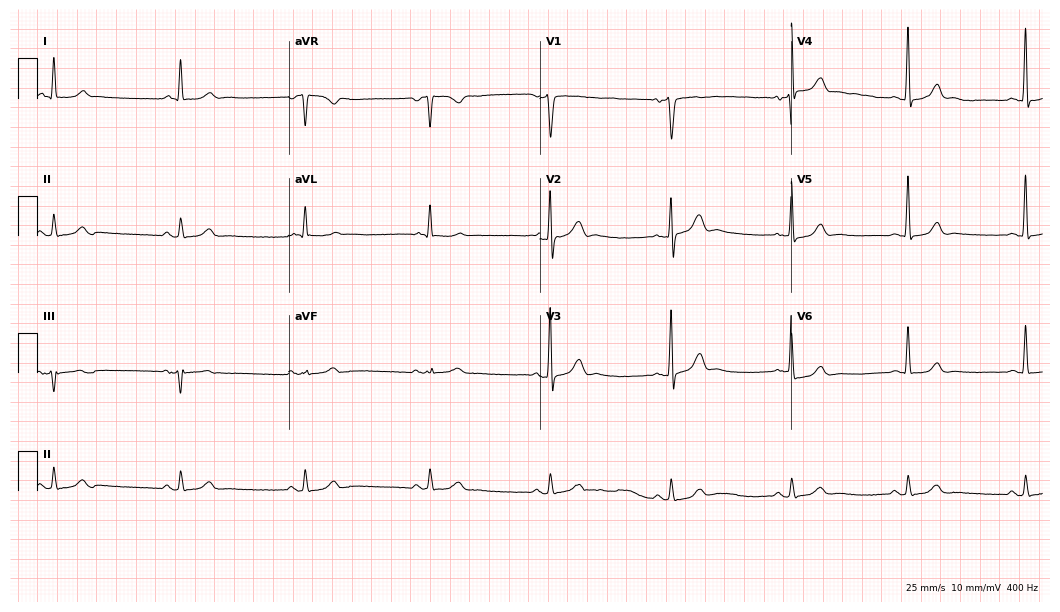
12-lead ECG from a male patient, 59 years old. Findings include sinus bradycardia (a sinus rate of 50 beats per minute or less).